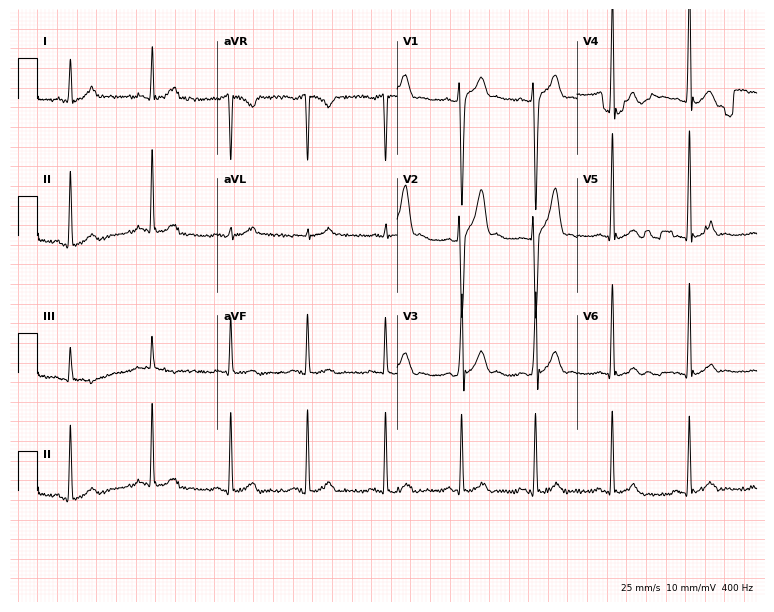
12-lead ECG from a 23-year-old male patient. No first-degree AV block, right bundle branch block, left bundle branch block, sinus bradycardia, atrial fibrillation or sinus tachycardia recorded for this tracing. Only these six findings were labelled.